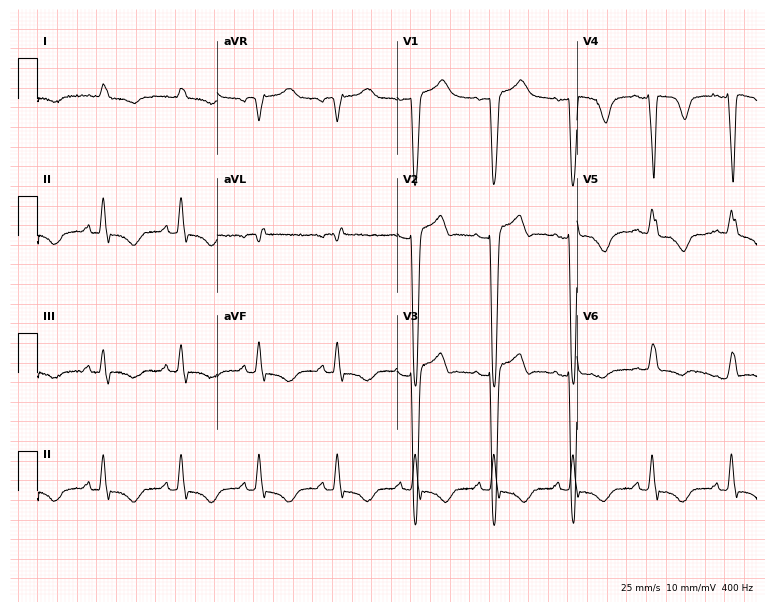
ECG (7.3-second recording at 400 Hz) — a 74-year-old man. Findings include left bundle branch block.